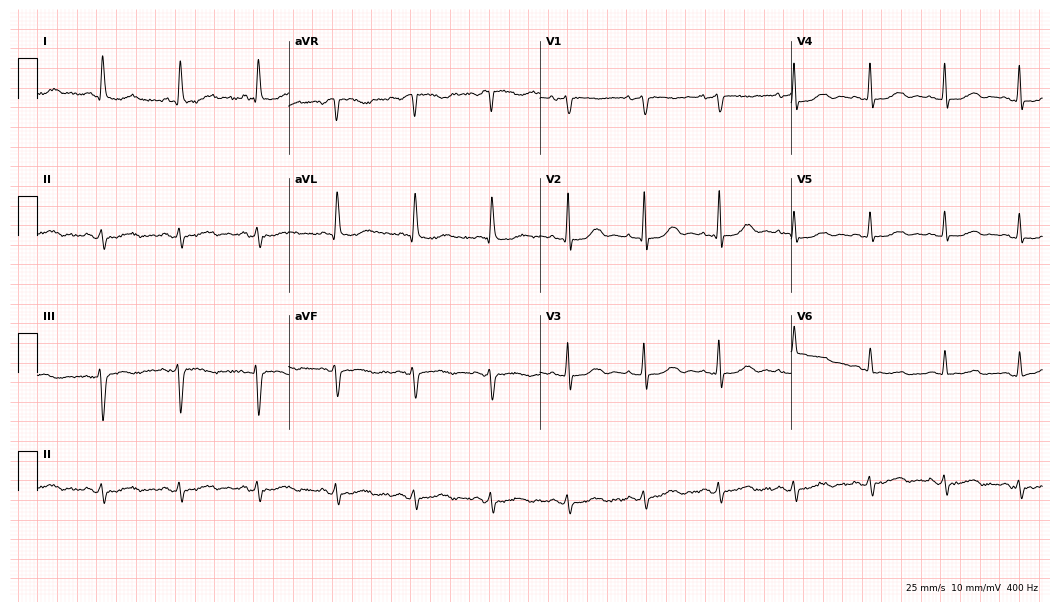
Resting 12-lead electrocardiogram. Patient: a woman, 74 years old. None of these six findings is recorded: first-degree AV block, right bundle branch block (RBBB), left bundle branch block (LBBB), sinus bradycardia, atrial fibrillation (AF), sinus tachycardia. Findings outside these six are not listed.